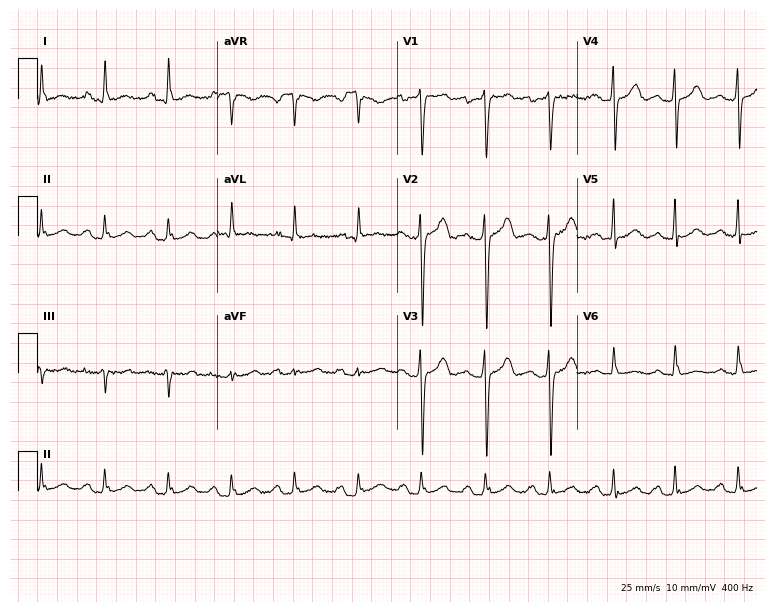
Resting 12-lead electrocardiogram. Patient: a 31-year-old female. None of these six findings is recorded: first-degree AV block, right bundle branch block, left bundle branch block, sinus bradycardia, atrial fibrillation, sinus tachycardia. Other findings, if any, are not listed.